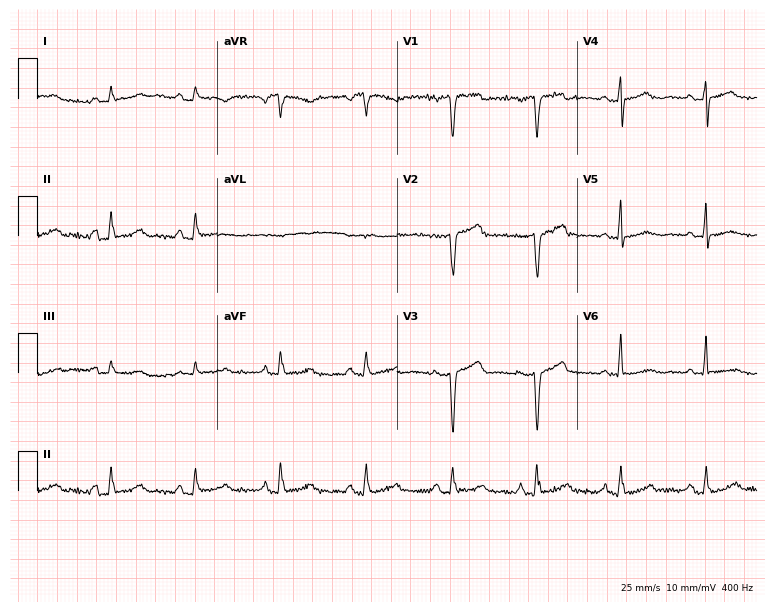
Electrocardiogram (7.3-second recording at 400 Hz), a 65-year-old woman. Of the six screened findings (first-degree AV block, right bundle branch block, left bundle branch block, sinus bradycardia, atrial fibrillation, sinus tachycardia), none is recorded. Only these six findings were labelled.